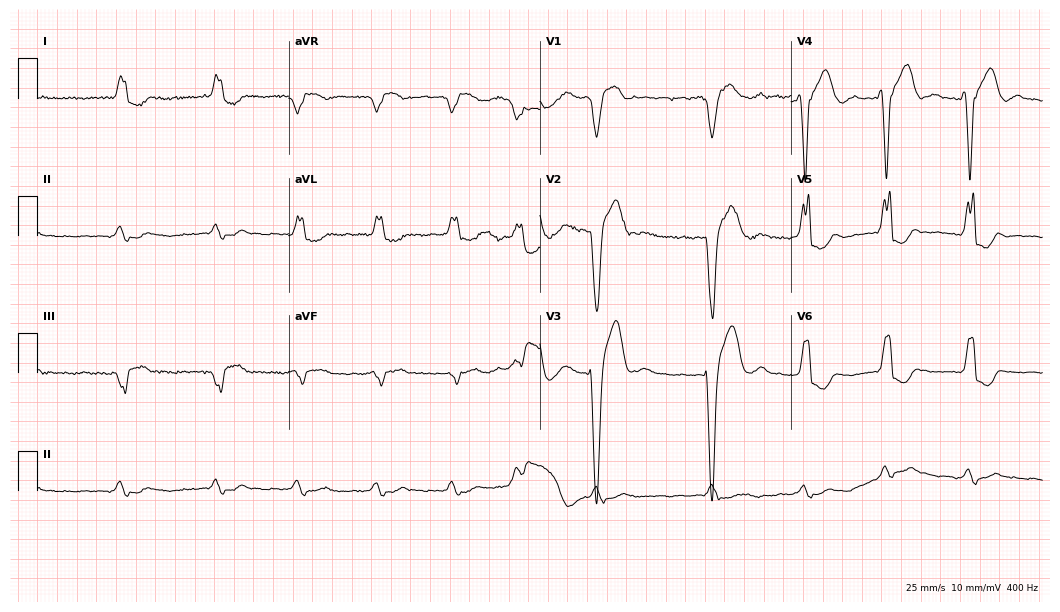
Standard 12-lead ECG recorded from a 74-year-old male patient (10.2-second recording at 400 Hz). The tracing shows left bundle branch block (LBBB), atrial fibrillation (AF).